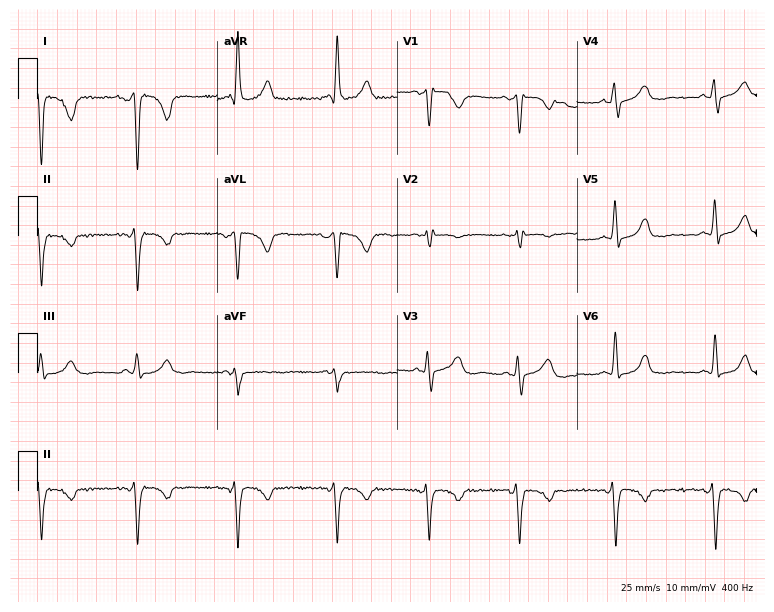
ECG — a female patient, 46 years old. Screened for six findings — first-degree AV block, right bundle branch block, left bundle branch block, sinus bradycardia, atrial fibrillation, sinus tachycardia — none is recorded. Only these six findings were labelled.